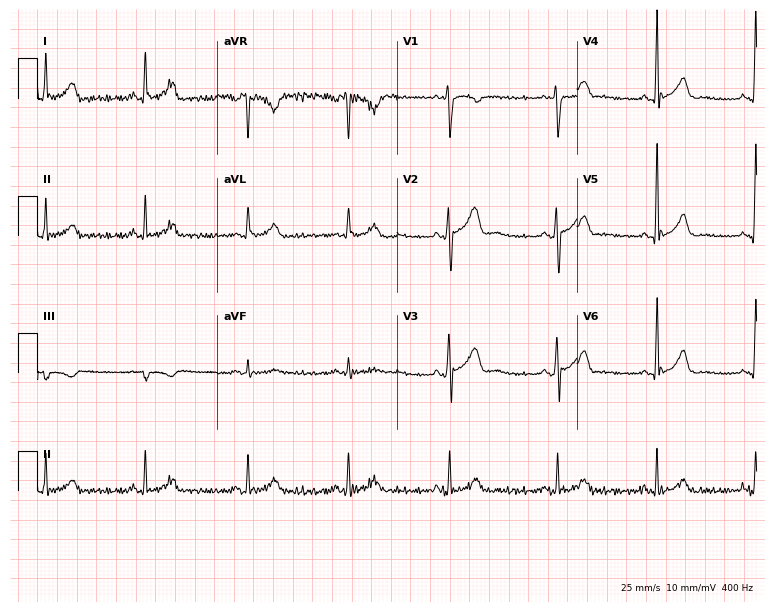
Electrocardiogram (7.3-second recording at 400 Hz), a man, 42 years old. Overall reading on record: normal ECG.